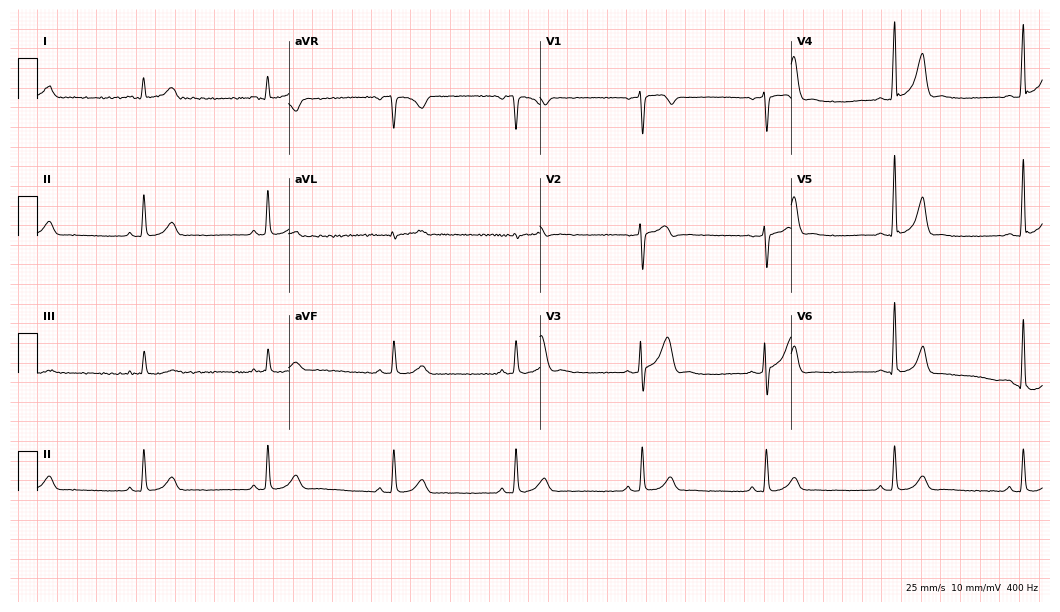
12-lead ECG (10.2-second recording at 400 Hz) from a male, 52 years old. Findings include sinus bradycardia (a sinus rate of 50 beats per minute or less).